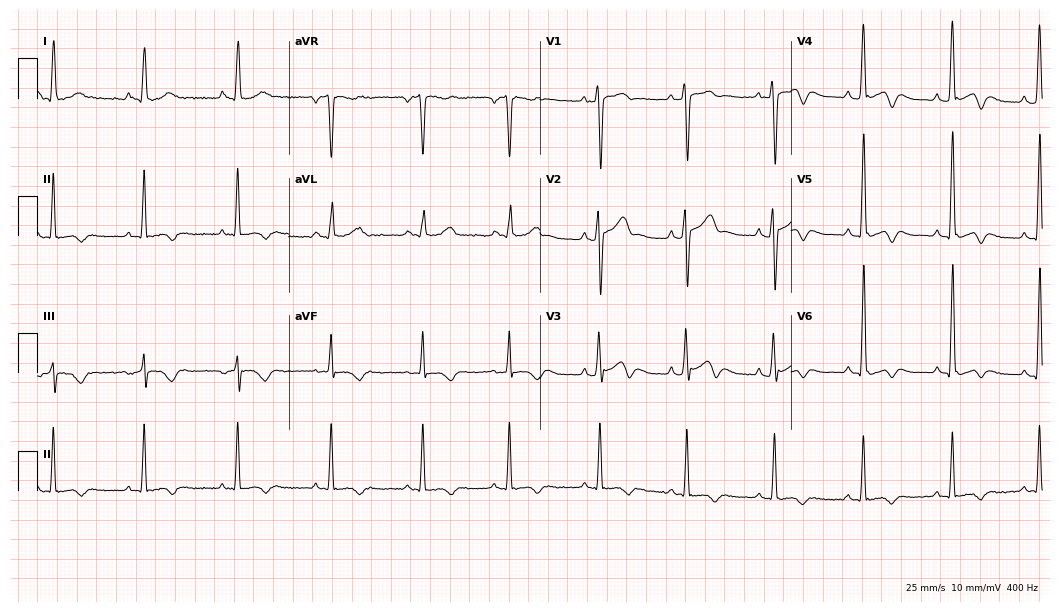
Standard 12-lead ECG recorded from a 17-year-old man. None of these six findings is recorded: first-degree AV block, right bundle branch block, left bundle branch block, sinus bradycardia, atrial fibrillation, sinus tachycardia. Other findings, if any, are not listed.